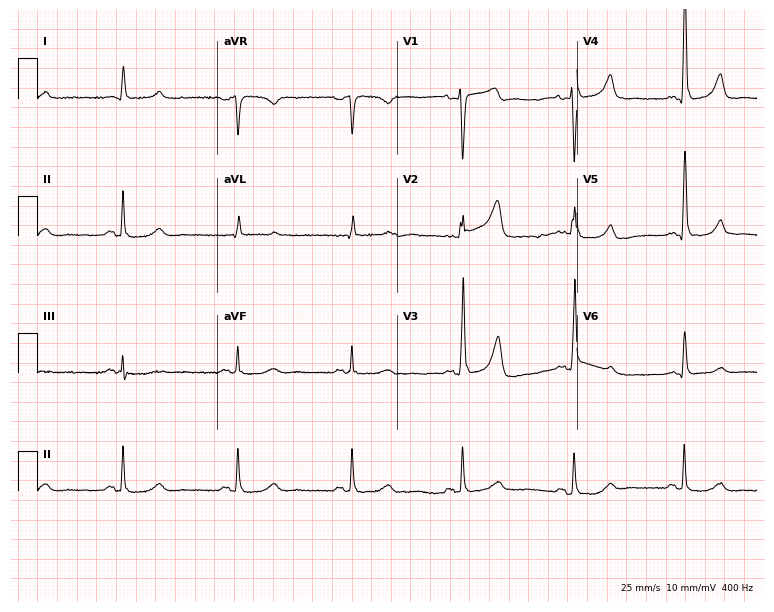
Electrocardiogram (7.3-second recording at 400 Hz), an 81-year-old man. Of the six screened findings (first-degree AV block, right bundle branch block, left bundle branch block, sinus bradycardia, atrial fibrillation, sinus tachycardia), none is recorded.